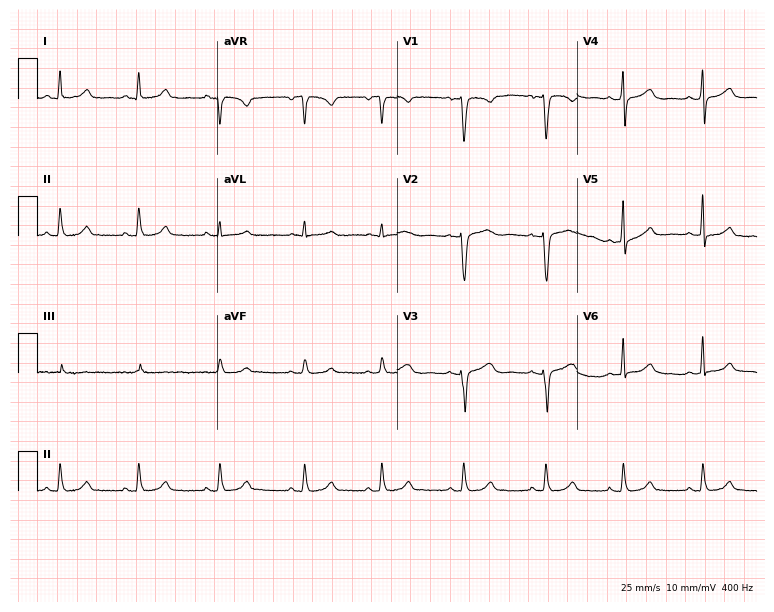
ECG (7.3-second recording at 400 Hz) — a female patient, 26 years old. Labelled as a normal ECG.